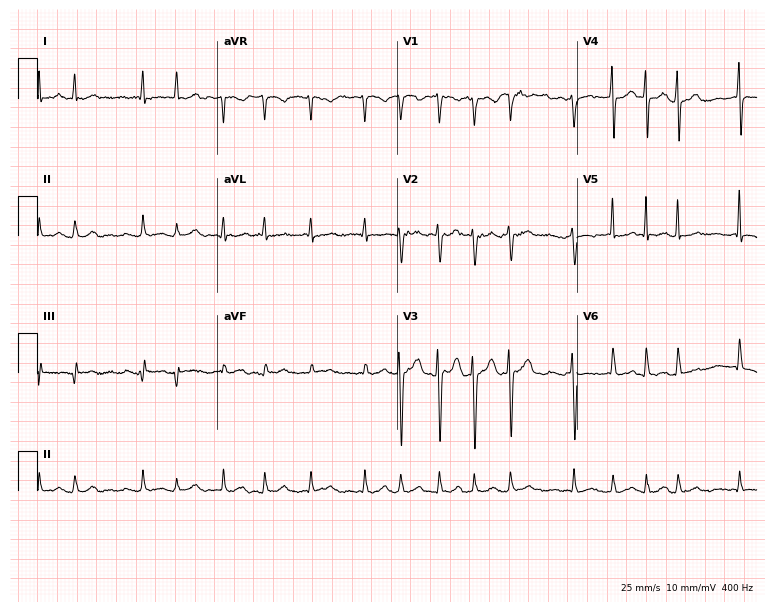
Resting 12-lead electrocardiogram (7.3-second recording at 400 Hz). Patient: a female, 42 years old. The tracing shows atrial fibrillation.